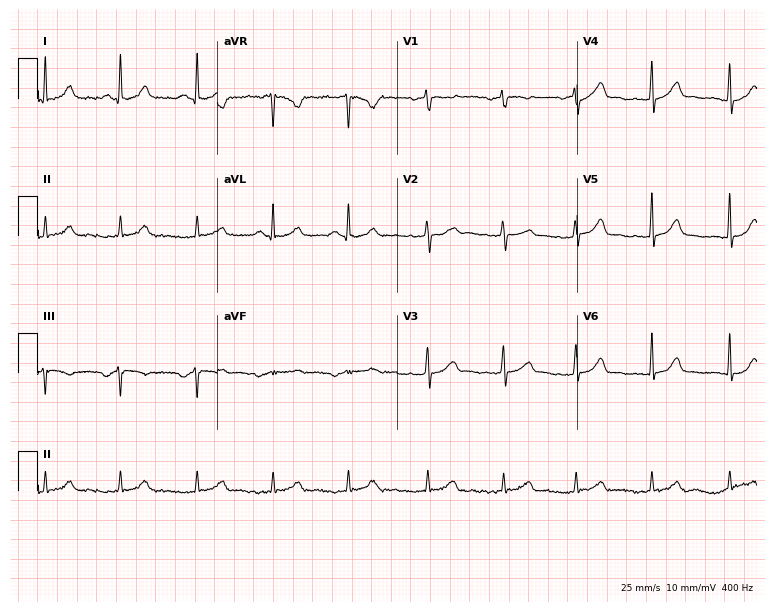
Resting 12-lead electrocardiogram. Patient: a woman, 29 years old. Read as a normal ECG.